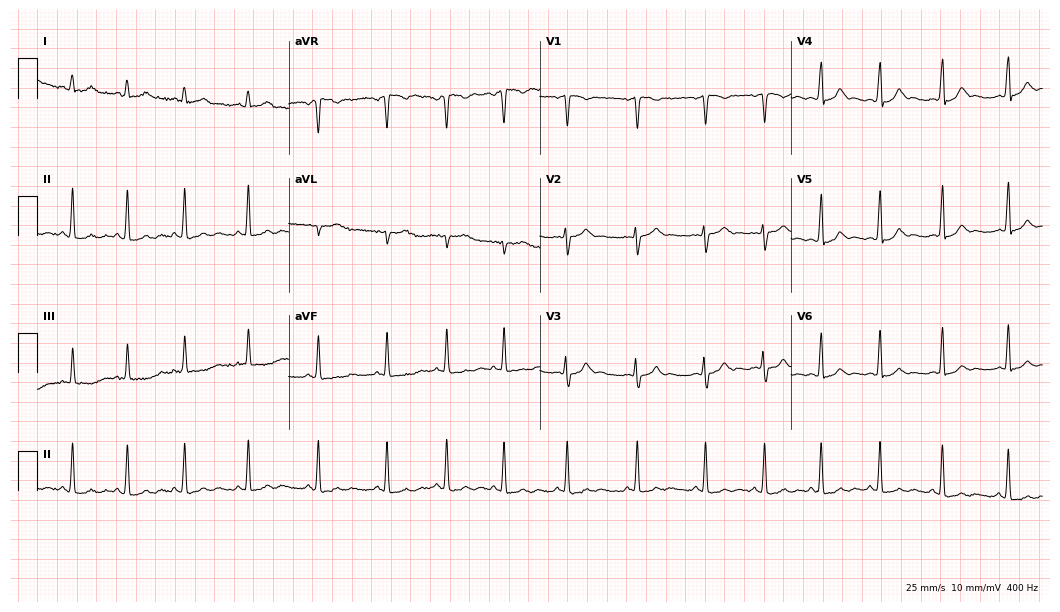
Electrocardiogram (10.2-second recording at 400 Hz), a 19-year-old female. Of the six screened findings (first-degree AV block, right bundle branch block (RBBB), left bundle branch block (LBBB), sinus bradycardia, atrial fibrillation (AF), sinus tachycardia), none is recorded. Findings outside these six are not listed.